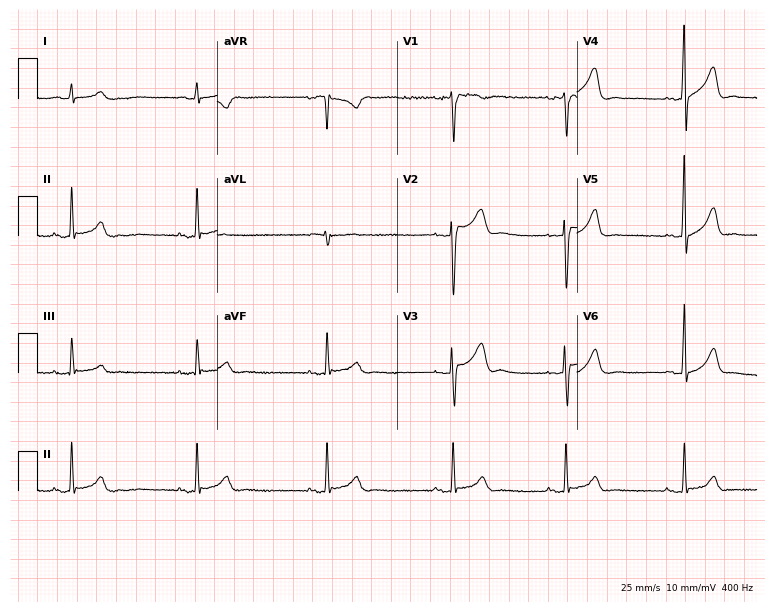
12-lead ECG (7.3-second recording at 400 Hz) from a 19-year-old male patient. Screened for six findings — first-degree AV block, right bundle branch block (RBBB), left bundle branch block (LBBB), sinus bradycardia, atrial fibrillation (AF), sinus tachycardia — none is recorded. Other findings, if any, are not listed.